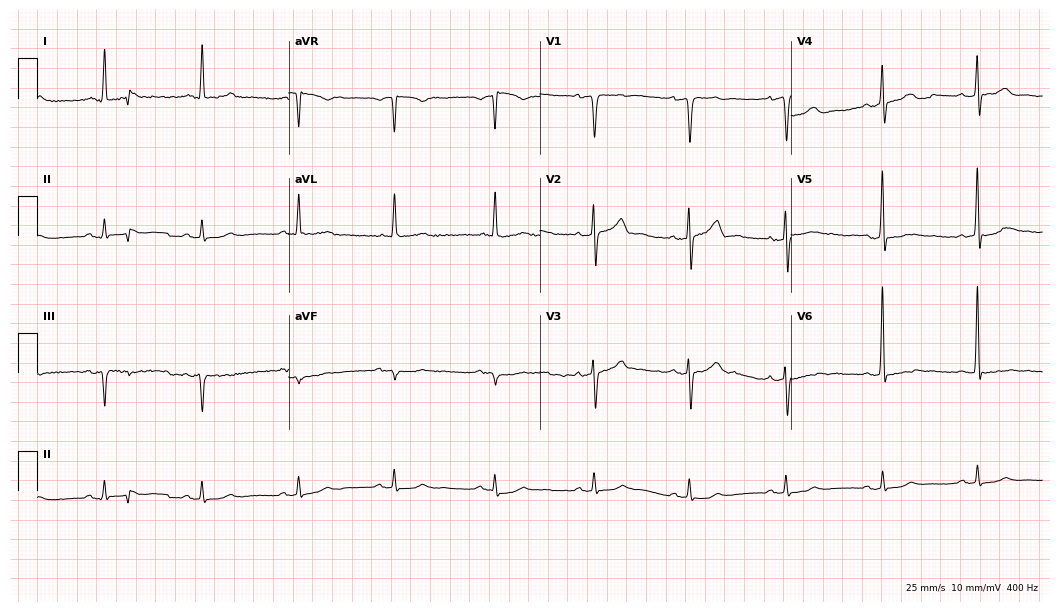
ECG (10.2-second recording at 400 Hz) — a 59-year-old male. Screened for six findings — first-degree AV block, right bundle branch block, left bundle branch block, sinus bradycardia, atrial fibrillation, sinus tachycardia — none is recorded. Only these six findings were labelled.